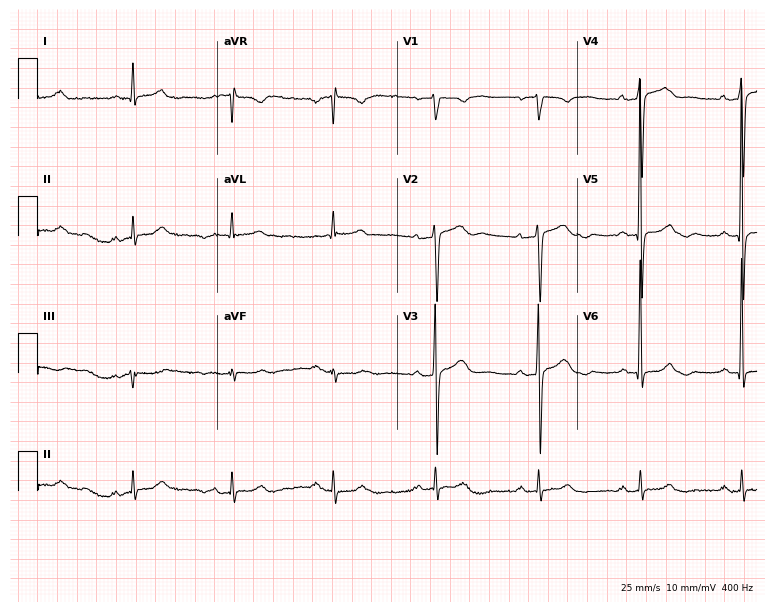
12-lead ECG (7.3-second recording at 400 Hz) from a man, 59 years old. Screened for six findings — first-degree AV block, right bundle branch block, left bundle branch block, sinus bradycardia, atrial fibrillation, sinus tachycardia — none is recorded.